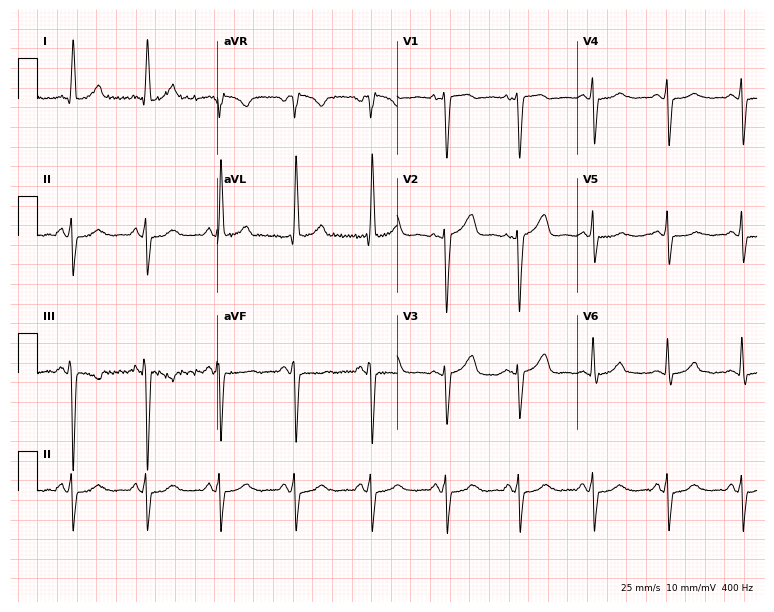
ECG (7.3-second recording at 400 Hz) — a female patient, 37 years old. Screened for six findings — first-degree AV block, right bundle branch block (RBBB), left bundle branch block (LBBB), sinus bradycardia, atrial fibrillation (AF), sinus tachycardia — none is recorded.